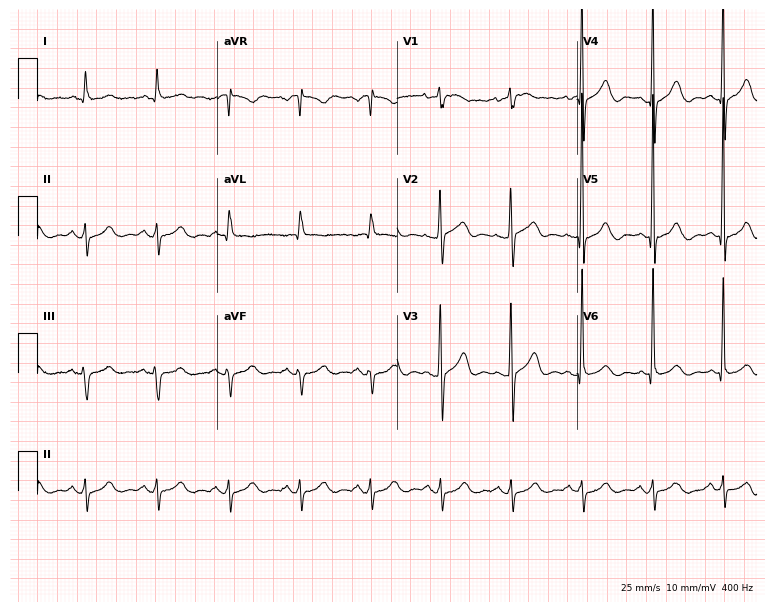
ECG (7.3-second recording at 400 Hz) — a 72-year-old man. Screened for six findings — first-degree AV block, right bundle branch block, left bundle branch block, sinus bradycardia, atrial fibrillation, sinus tachycardia — none is recorded.